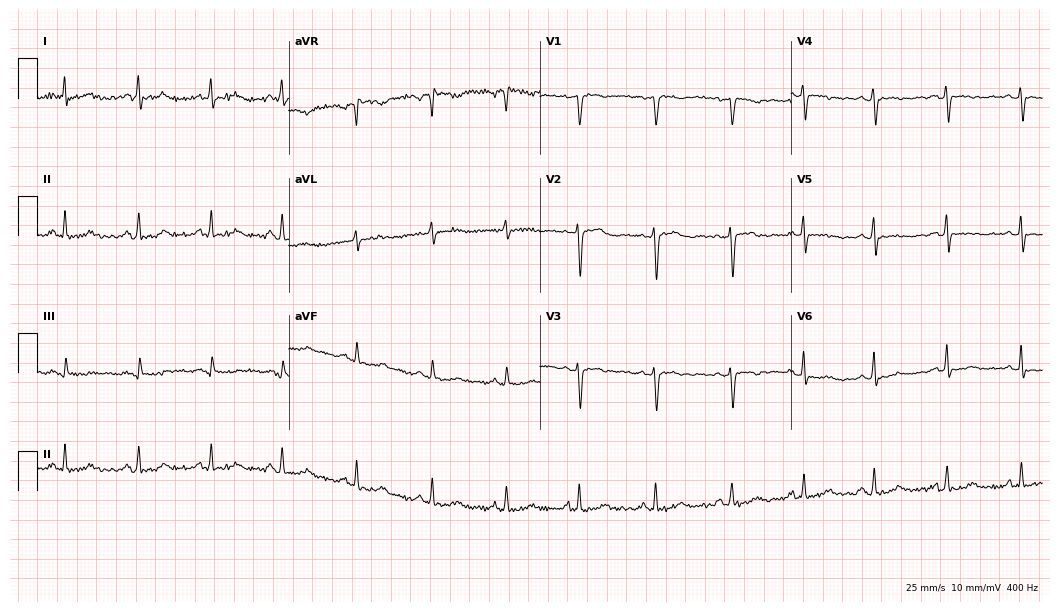
Standard 12-lead ECG recorded from a female, 38 years old. None of these six findings is recorded: first-degree AV block, right bundle branch block, left bundle branch block, sinus bradycardia, atrial fibrillation, sinus tachycardia. Findings outside these six are not listed.